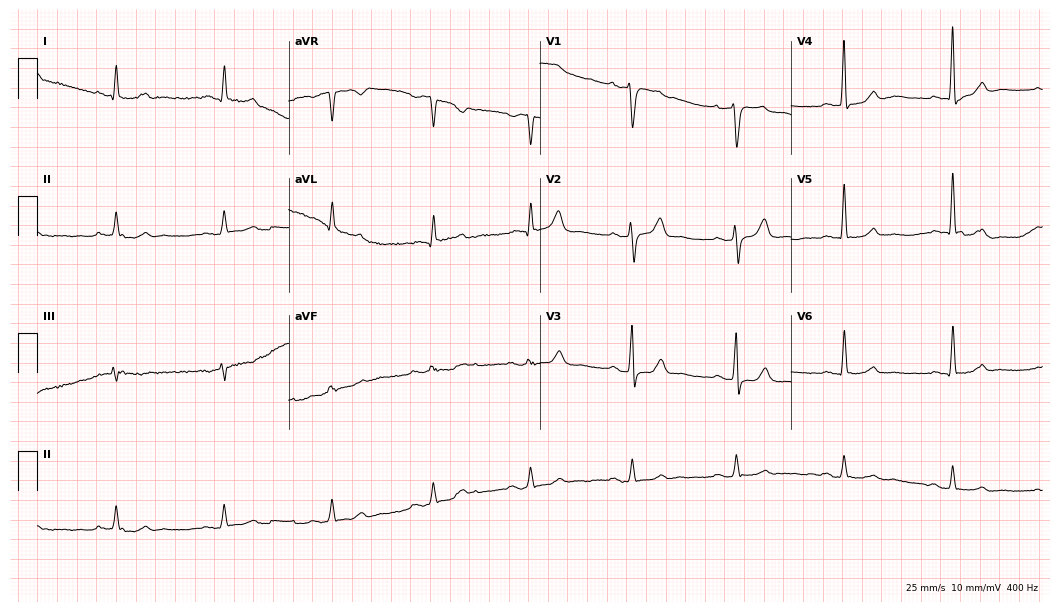
Standard 12-lead ECG recorded from a male patient, 74 years old (10.2-second recording at 400 Hz). Read as a normal ECG.